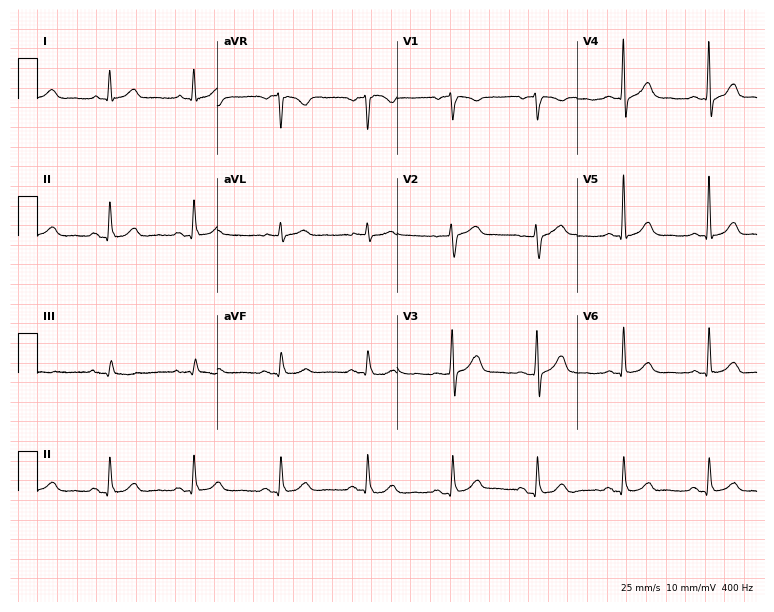
Electrocardiogram, a 63-year-old male. Overall reading on record: normal ECG.